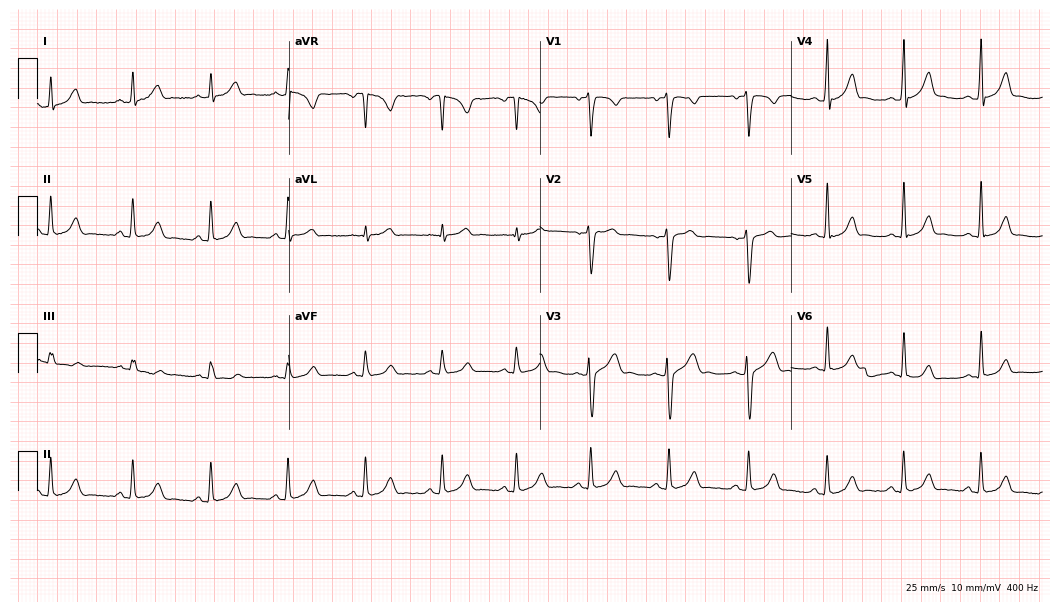
12-lead ECG from a woman, 25 years old. Recorded interpretation: within normal limits.